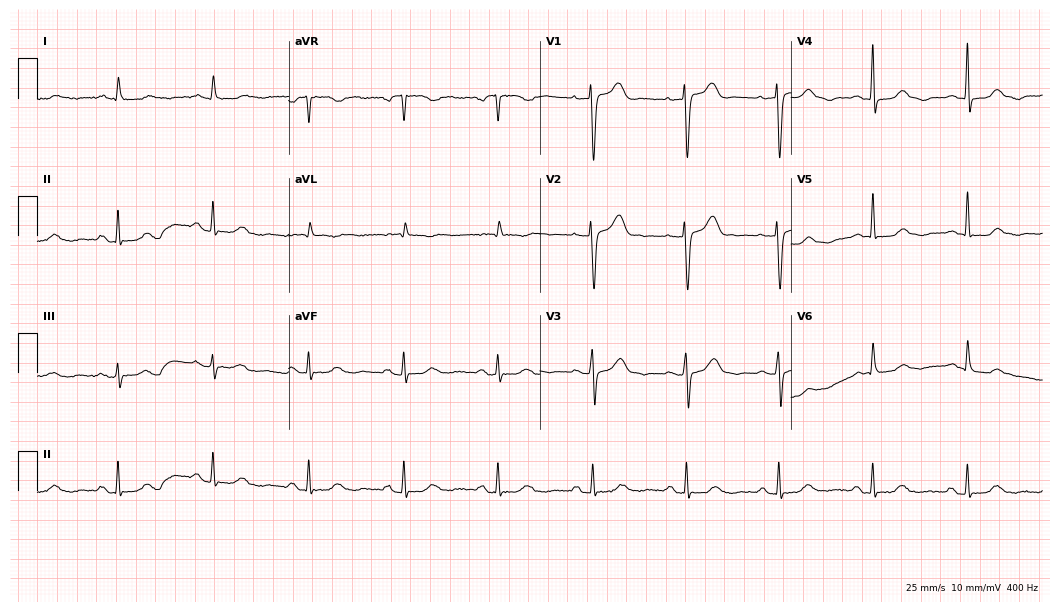
ECG — a female, 84 years old. Labelled as a normal ECG.